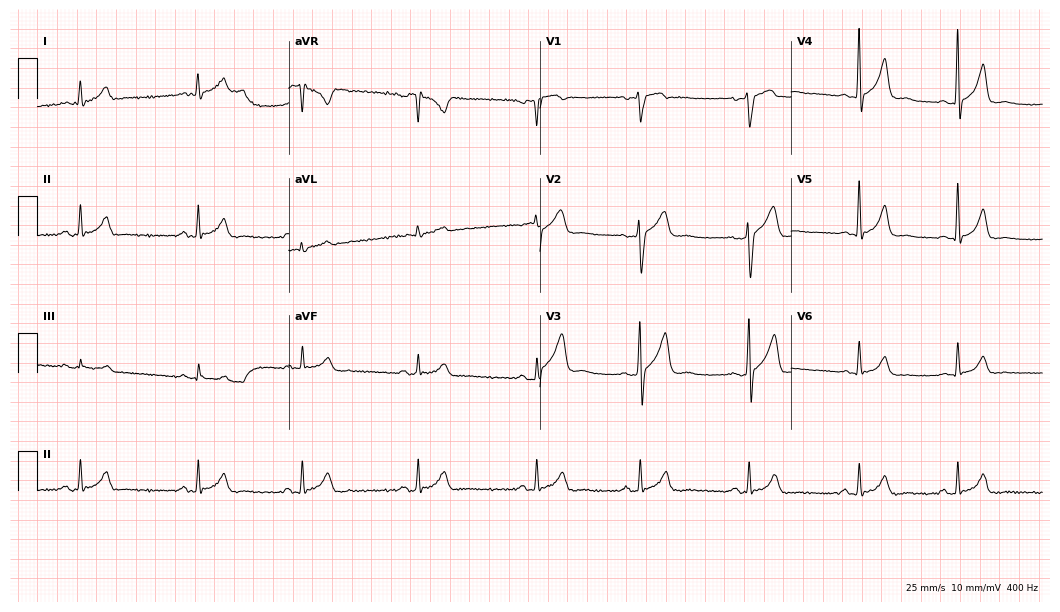
ECG — a 34-year-old male. Labelled as a normal ECG.